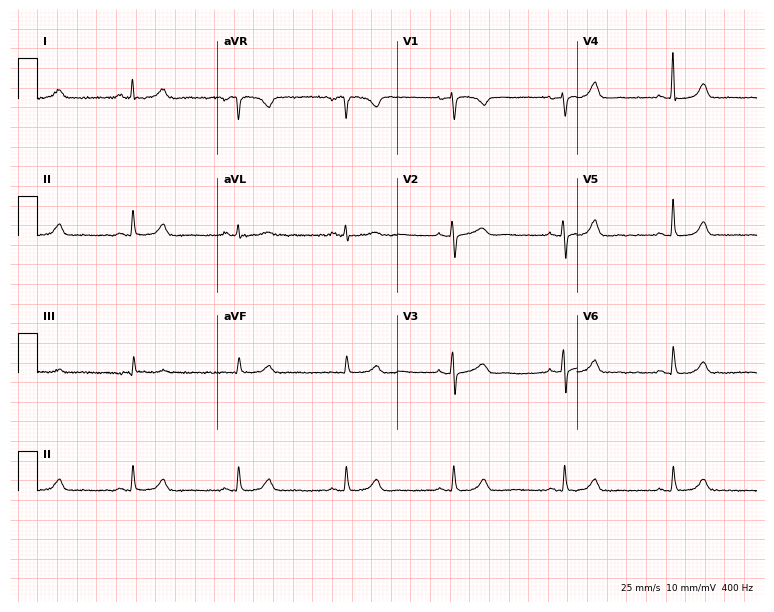
Resting 12-lead electrocardiogram (7.3-second recording at 400 Hz). Patient: a female, 52 years old. Read as a normal ECG.